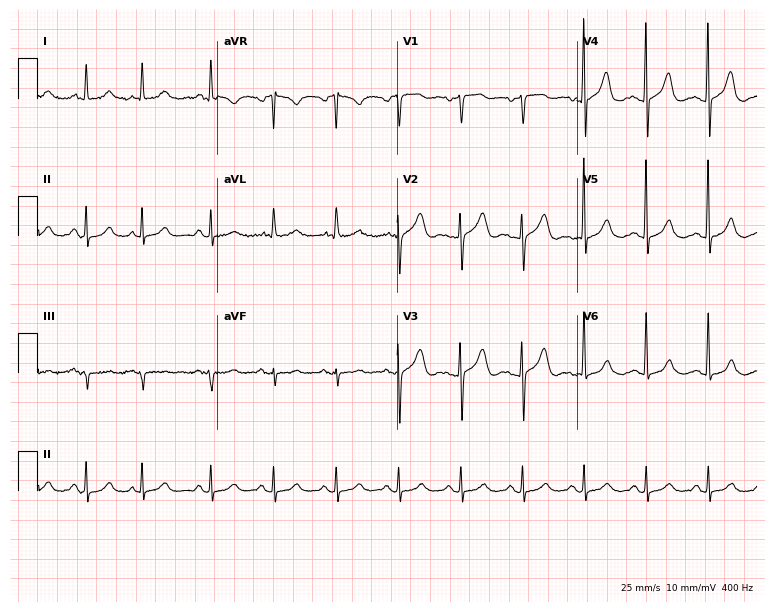
Standard 12-lead ECG recorded from an 84-year-old female (7.3-second recording at 400 Hz). None of these six findings is recorded: first-degree AV block, right bundle branch block (RBBB), left bundle branch block (LBBB), sinus bradycardia, atrial fibrillation (AF), sinus tachycardia. Other findings, if any, are not listed.